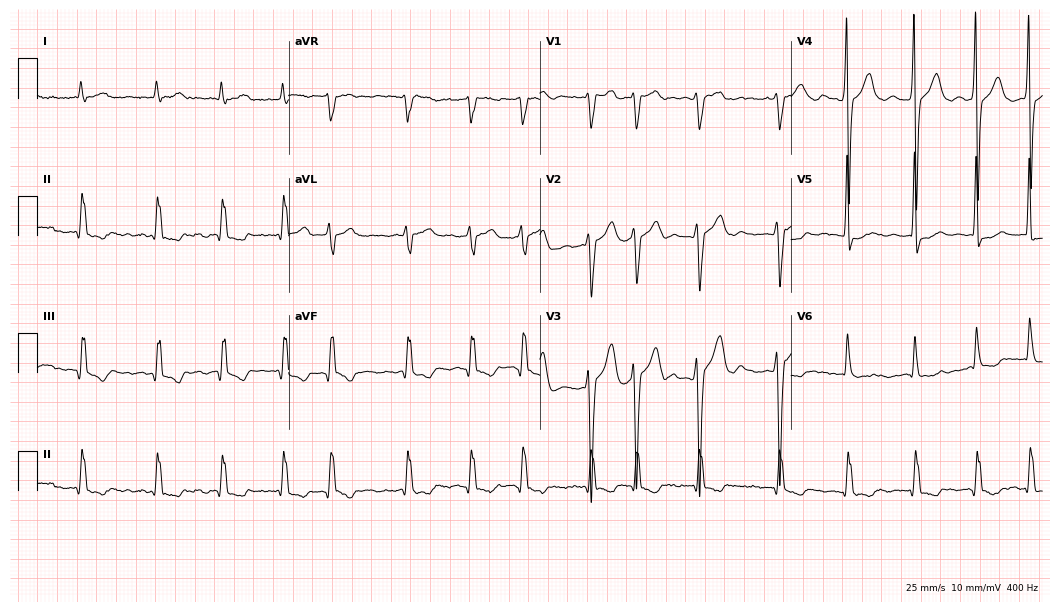
Resting 12-lead electrocardiogram (10.2-second recording at 400 Hz). Patient: a 72-year-old male. The tracing shows atrial fibrillation (AF).